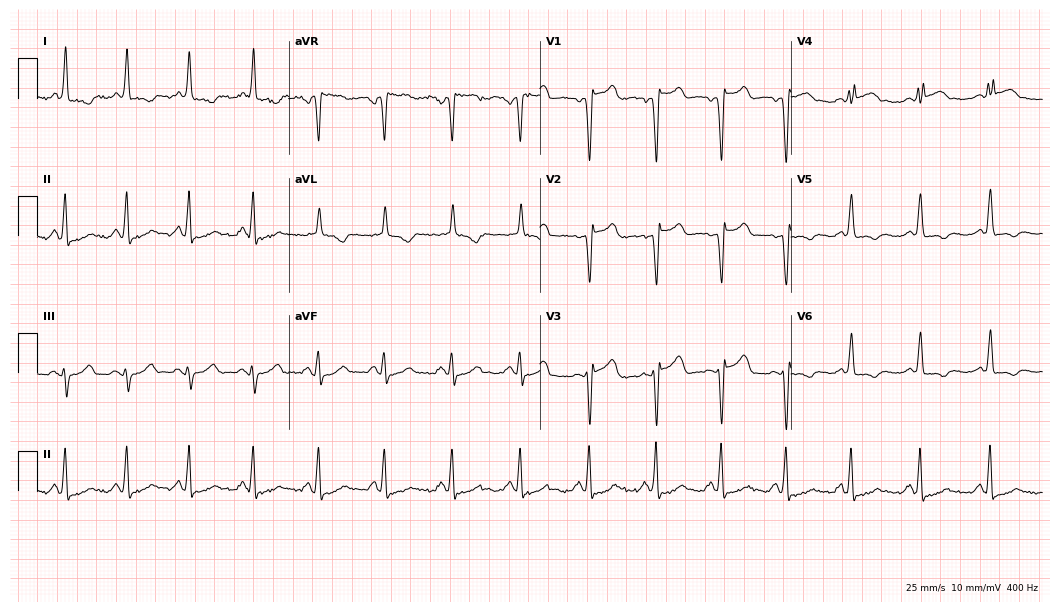
12-lead ECG from a 65-year-old woman (10.2-second recording at 400 Hz). No first-degree AV block, right bundle branch block, left bundle branch block, sinus bradycardia, atrial fibrillation or sinus tachycardia recorded for this tracing. Only these six findings were labelled.